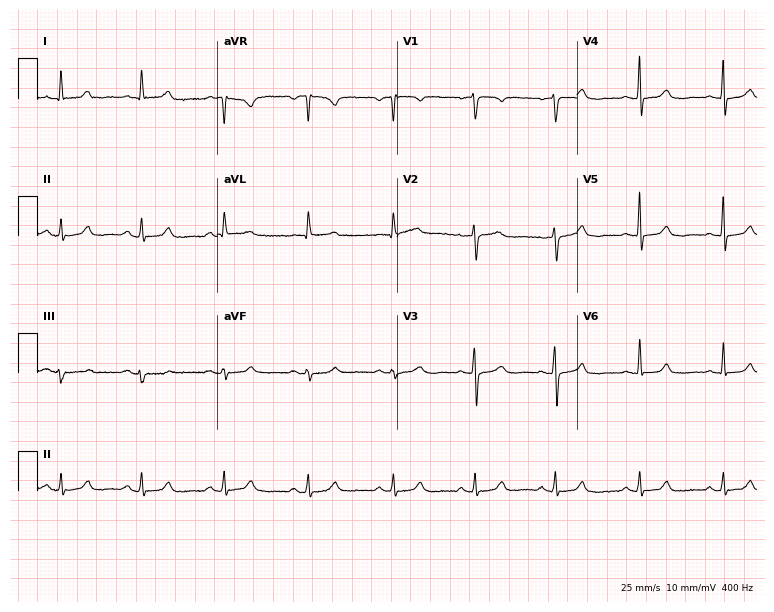
Resting 12-lead electrocardiogram (7.3-second recording at 400 Hz). Patient: a 45-year-old female. Read as a normal ECG.